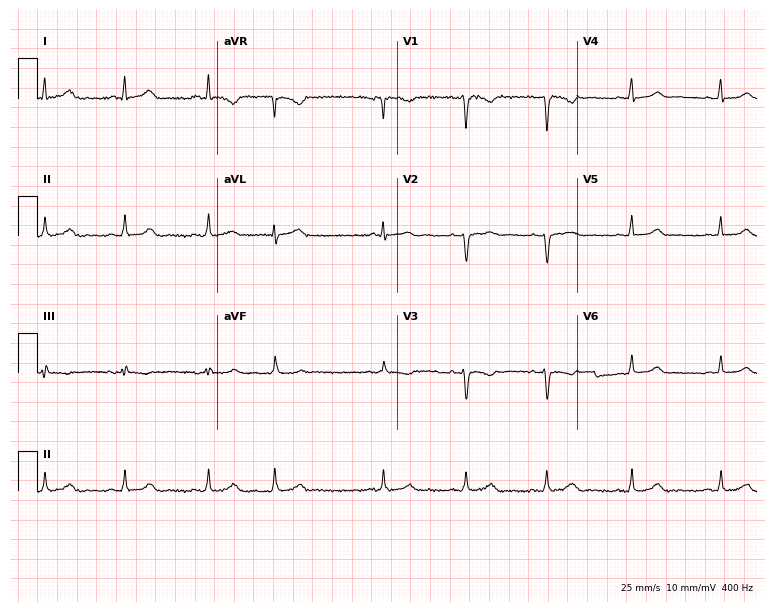
ECG — a 40-year-old female. Screened for six findings — first-degree AV block, right bundle branch block (RBBB), left bundle branch block (LBBB), sinus bradycardia, atrial fibrillation (AF), sinus tachycardia — none is recorded. Findings outside these six are not listed.